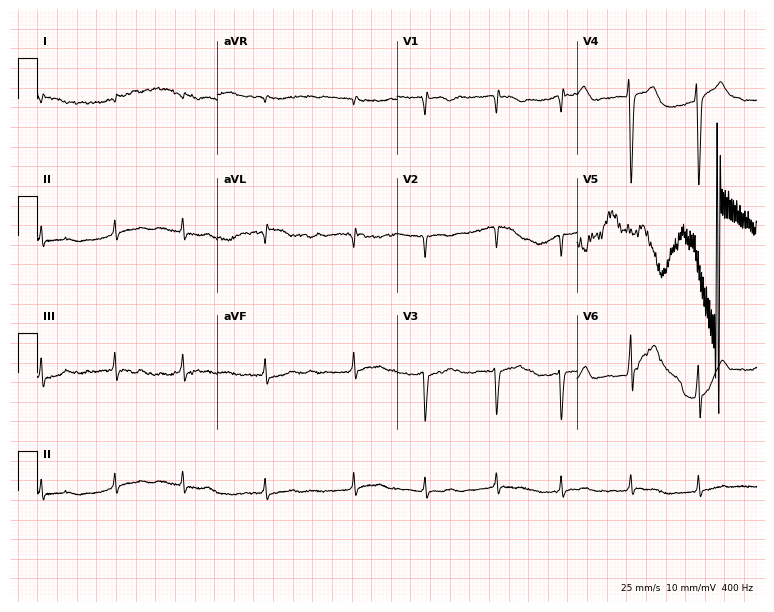
ECG — a man, 84 years old. Screened for six findings — first-degree AV block, right bundle branch block, left bundle branch block, sinus bradycardia, atrial fibrillation, sinus tachycardia — none is recorded.